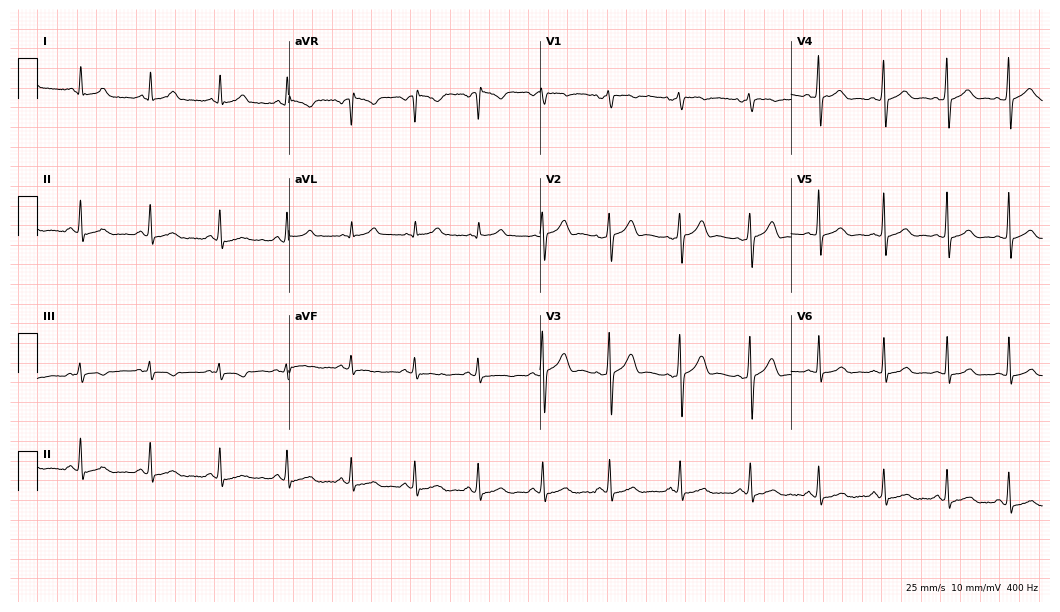
12-lead ECG from a female patient, 39 years old (10.2-second recording at 400 Hz). Recorded interpretation: within normal limits.